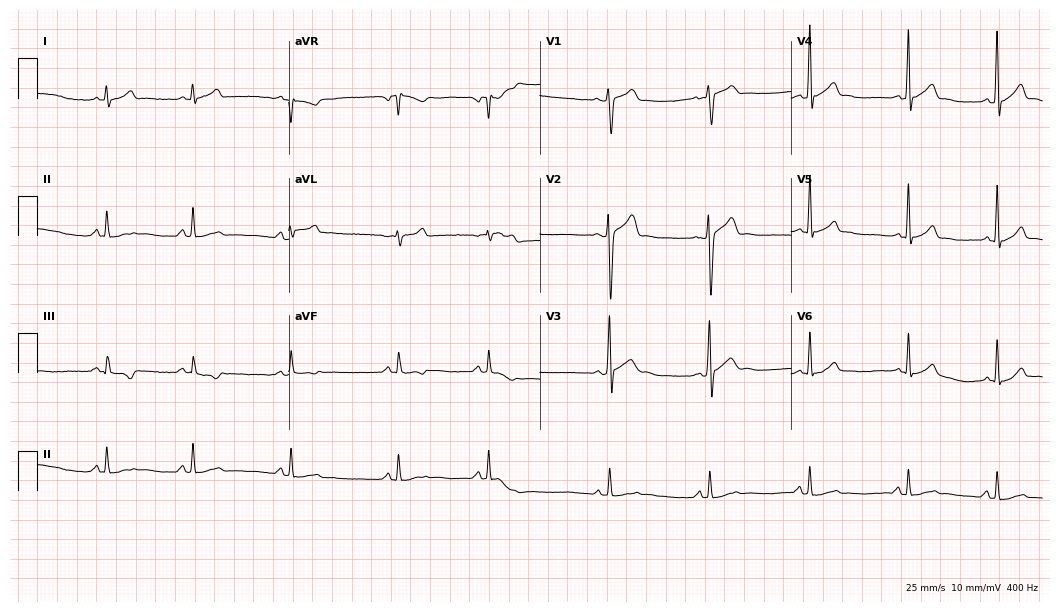
12-lead ECG from a male, 21 years old. Screened for six findings — first-degree AV block, right bundle branch block, left bundle branch block, sinus bradycardia, atrial fibrillation, sinus tachycardia — none is recorded. Findings outside these six are not listed.